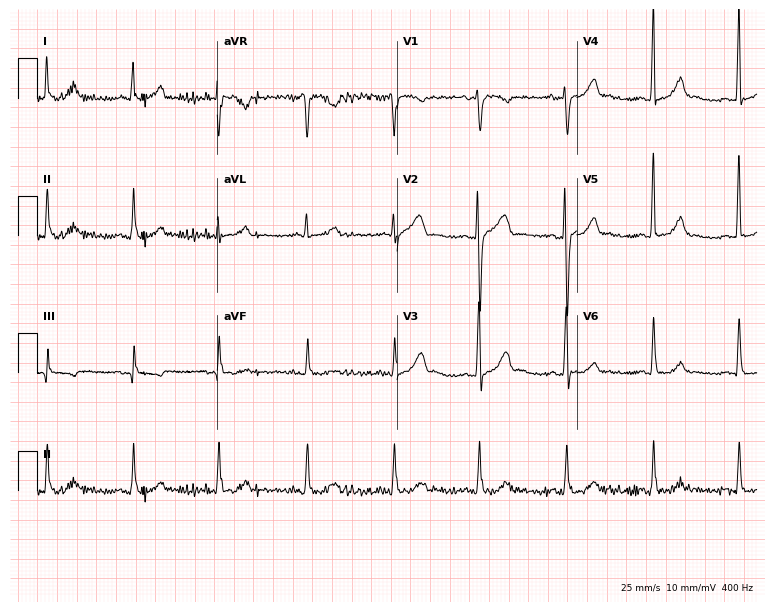
Electrocardiogram (7.3-second recording at 400 Hz), a 43-year-old female. Of the six screened findings (first-degree AV block, right bundle branch block, left bundle branch block, sinus bradycardia, atrial fibrillation, sinus tachycardia), none is recorded. Only these six findings were labelled.